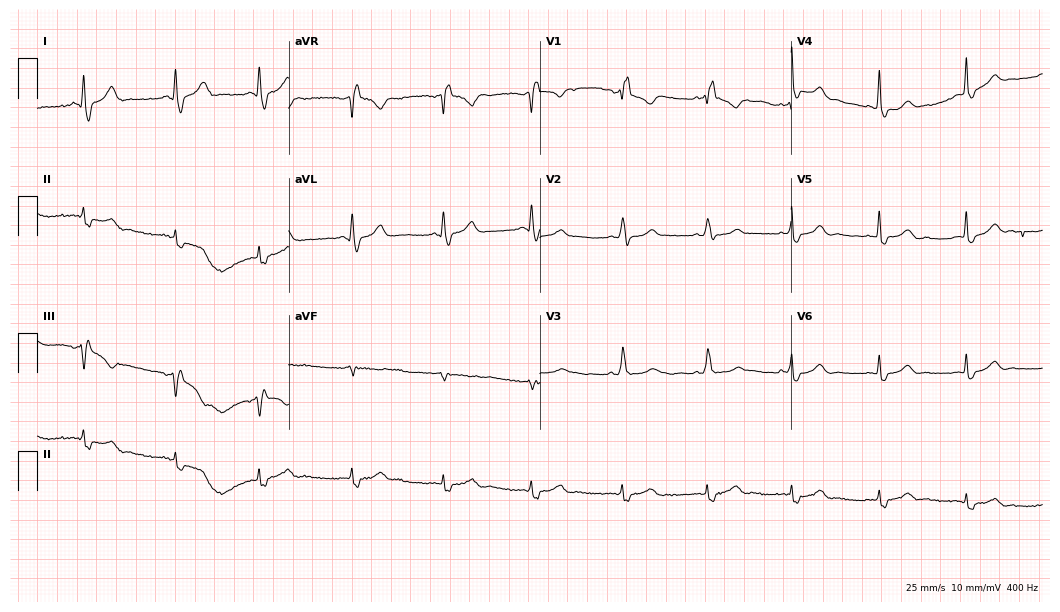
ECG (10.2-second recording at 400 Hz) — a woman, 49 years old. Screened for six findings — first-degree AV block, right bundle branch block (RBBB), left bundle branch block (LBBB), sinus bradycardia, atrial fibrillation (AF), sinus tachycardia — none is recorded. Findings outside these six are not listed.